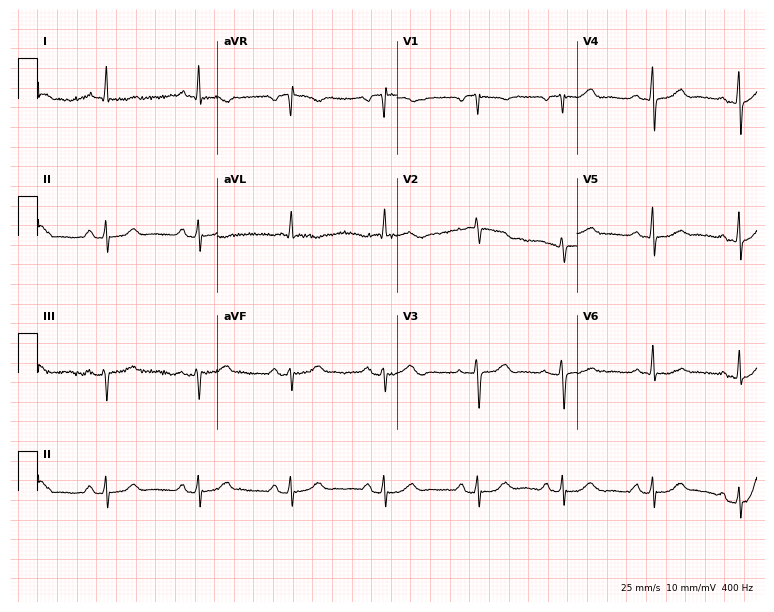
12-lead ECG from a 78-year-old female patient. No first-degree AV block, right bundle branch block, left bundle branch block, sinus bradycardia, atrial fibrillation or sinus tachycardia recorded for this tracing.